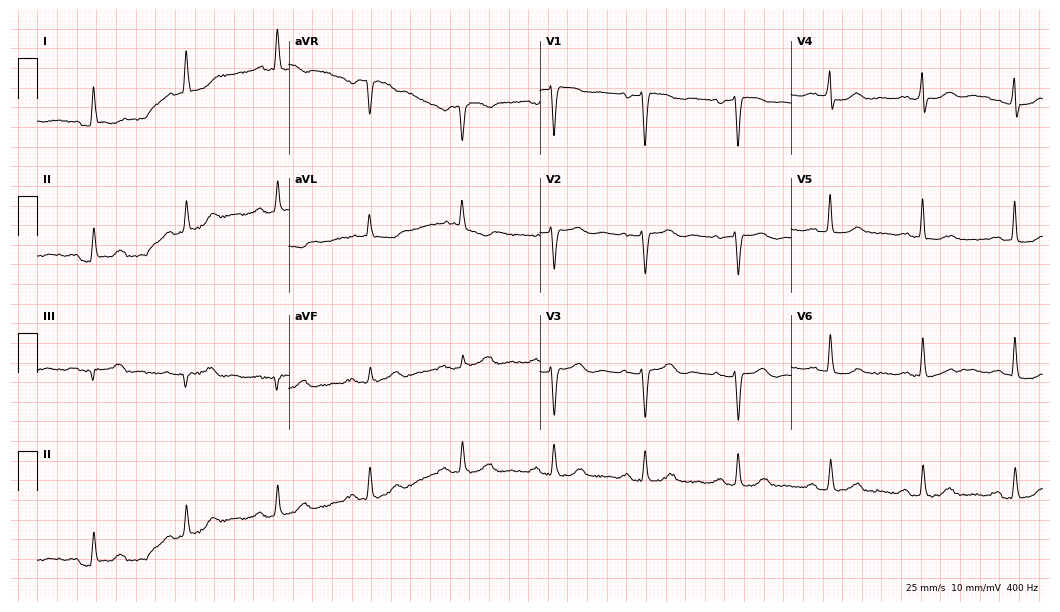
Electrocardiogram (10.2-second recording at 400 Hz), an 80-year-old female. Of the six screened findings (first-degree AV block, right bundle branch block, left bundle branch block, sinus bradycardia, atrial fibrillation, sinus tachycardia), none is recorded. Only these six findings were labelled.